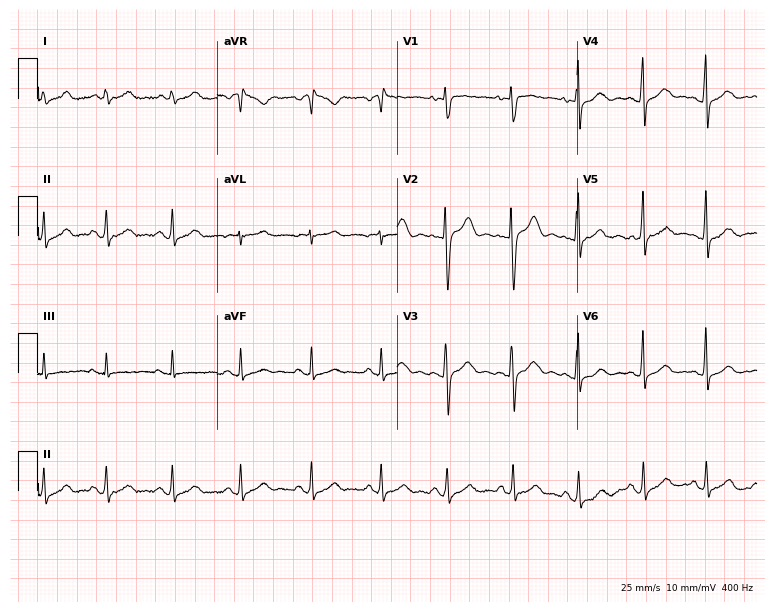
Resting 12-lead electrocardiogram (7.3-second recording at 400 Hz). Patient: a female, 24 years old. Read as a normal ECG.